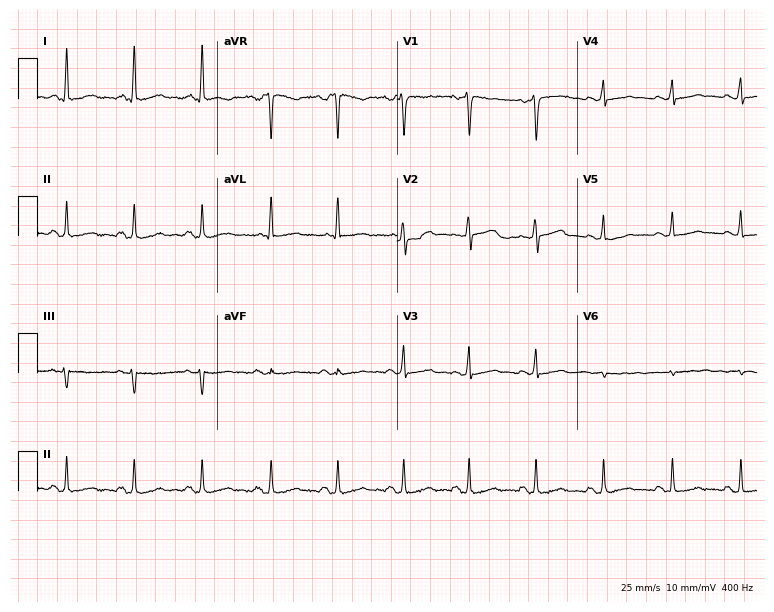
12-lead ECG from a female patient, 41 years old (7.3-second recording at 400 Hz). Recorded interpretation: within normal limits.